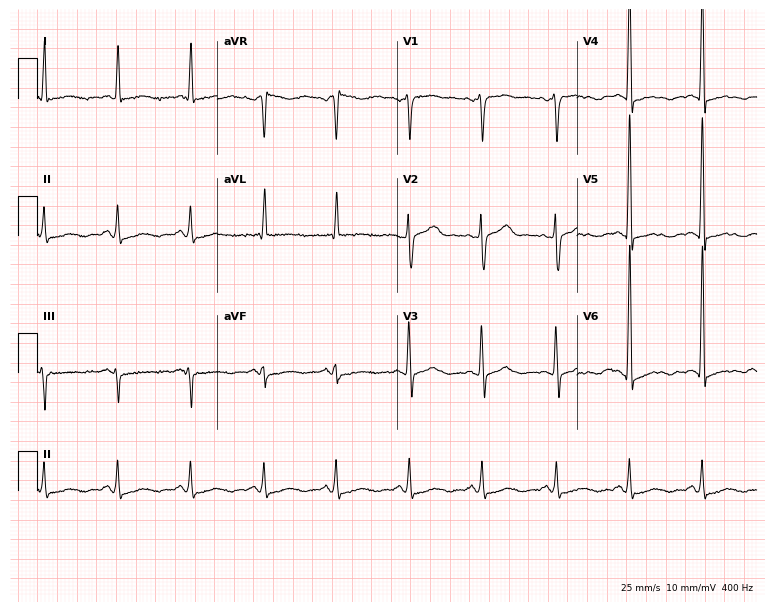
12-lead ECG from a 60-year-old male patient. No first-degree AV block, right bundle branch block, left bundle branch block, sinus bradycardia, atrial fibrillation or sinus tachycardia recorded for this tracing.